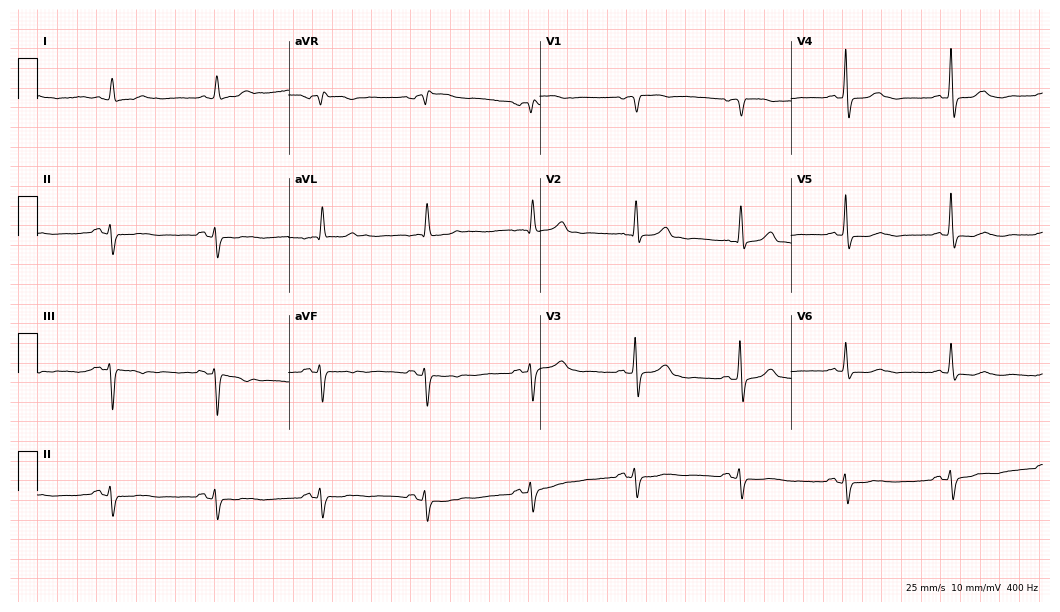
12-lead ECG (10.2-second recording at 400 Hz) from an 83-year-old female patient. Screened for six findings — first-degree AV block, right bundle branch block, left bundle branch block, sinus bradycardia, atrial fibrillation, sinus tachycardia — none is recorded. Findings outside these six are not listed.